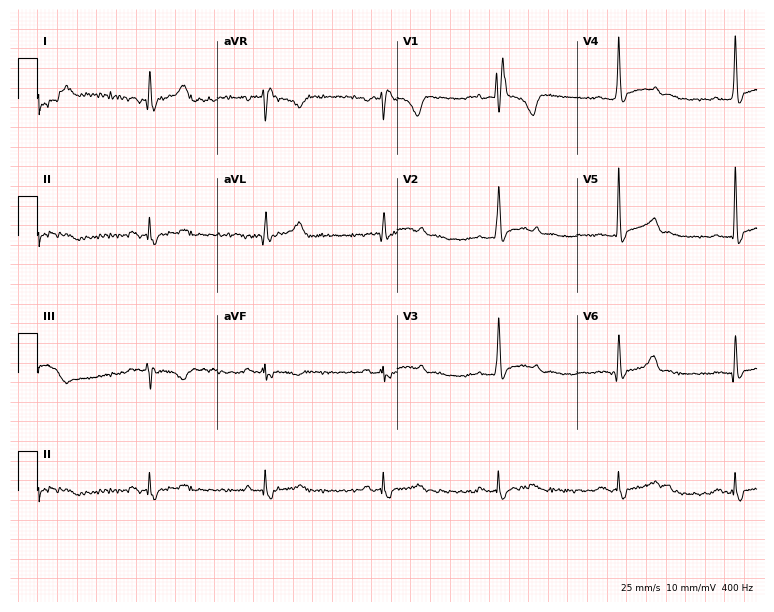
Resting 12-lead electrocardiogram (7.3-second recording at 400 Hz). Patient: a male, 43 years old. The tracing shows right bundle branch block.